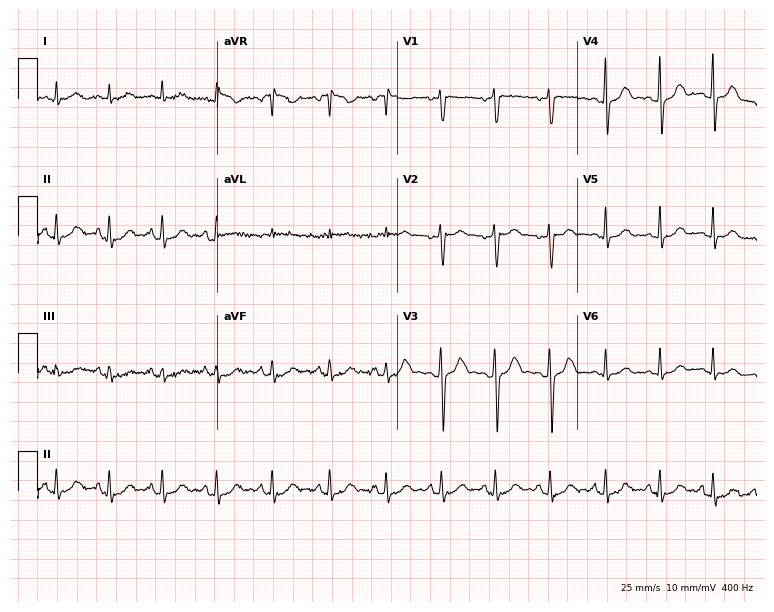
12-lead ECG from a woman, 34 years old. Findings include sinus tachycardia (a sinus rate of 100 beats per minute or more).